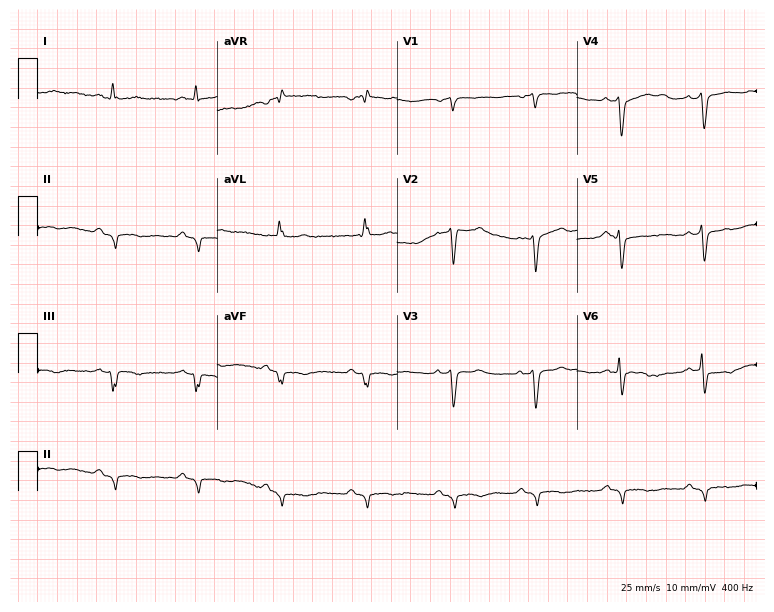
Resting 12-lead electrocardiogram (7.3-second recording at 400 Hz). Patient: a 65-year-old man. None of these six findings is recorded: first-degree AV block, right bundle branch block, left bundle branch block, sinus bradycardia, atrial fibrillation, sinus tachycardia.